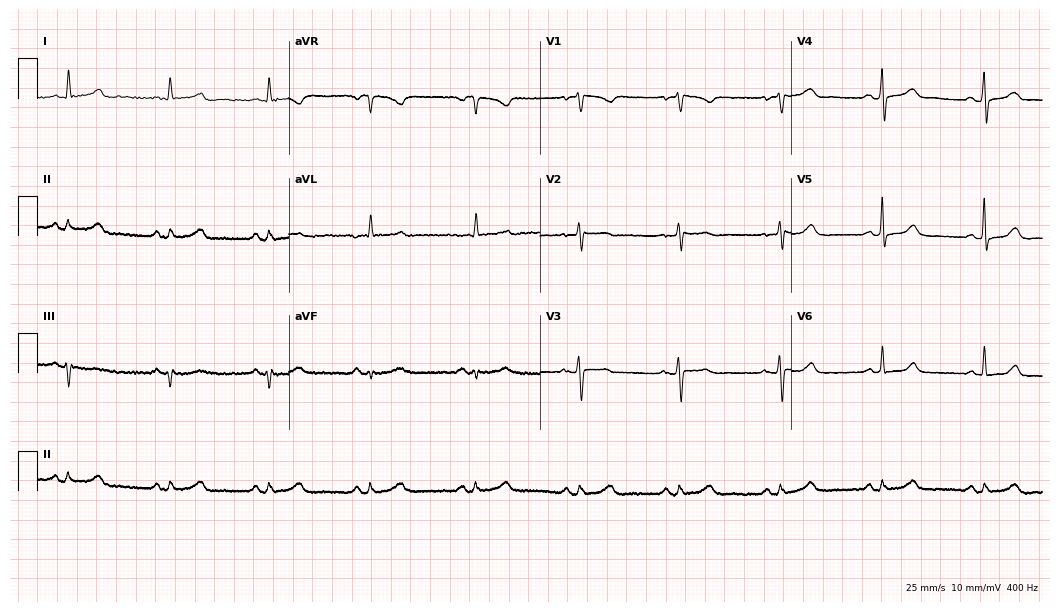
ECG (10.2-second recording at 400 Hz) — a 73-year-old female patient. Screened for six findings — first-degree AV block, right bundle branch block, left bundle branch block, sinus bradycardia, atrial fibrillation, sinus tachycardia — none is recorded. Only these six findings were labelled.